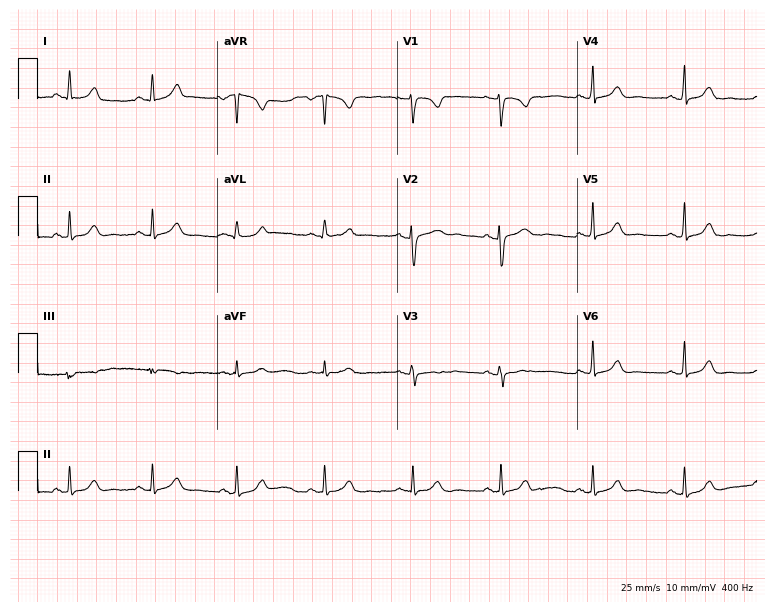
ECG (7.3-second recording at 400 Hz) — a female patient, 29 years old. Labelled as a normal ECG.